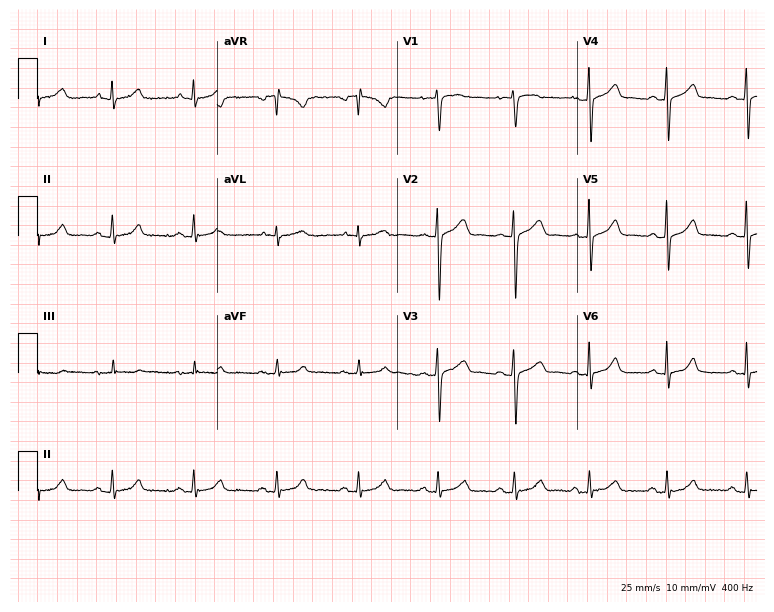
ECG (7.3-second recording at 400 Hz) — a female patient, 35 years old. Labelled as a normal ECG.